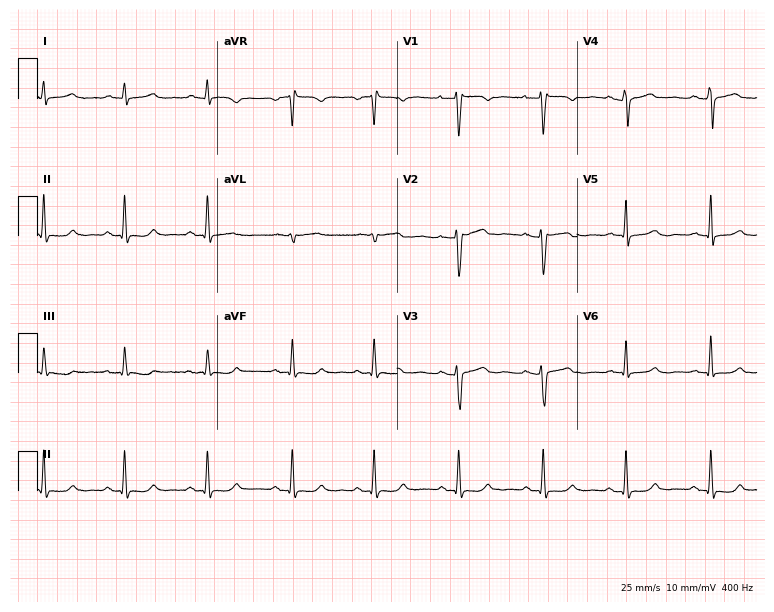
12-lead ECG from a female, 53 years old. Screened for six findings — first-degree AV block, right bundle branch block (RBBB), left bundle branch block (LBBB), sinus bradycardia, atrial fibrillation (AF), sinus tachycardia — none is recorded. Only these six findings were labelled.